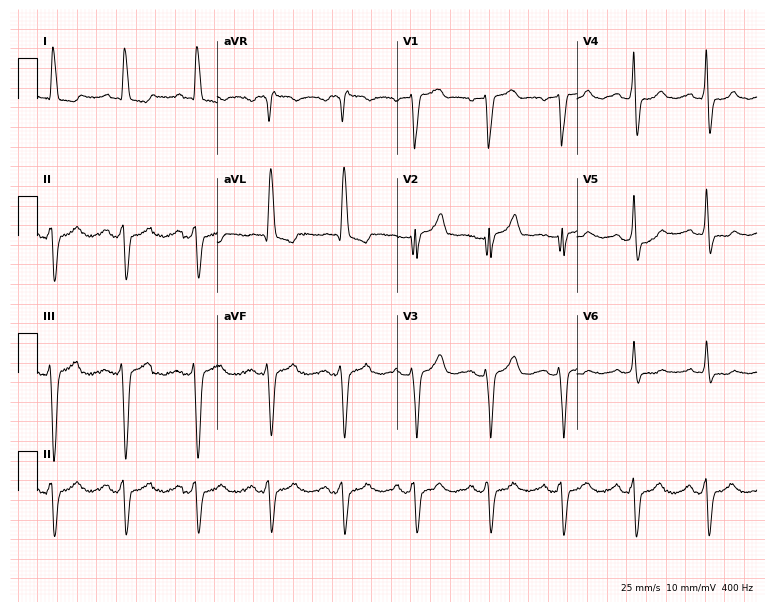
12-lead ECG (7.3-second recording at 400 Hz) from an 84-year-old female patient. Screened for six findings — first-degree AV block, right bundle branch block, left bundle branch block, sinus bradycardia, atrial fibrillation, sinus tachycardia — none is recorded.